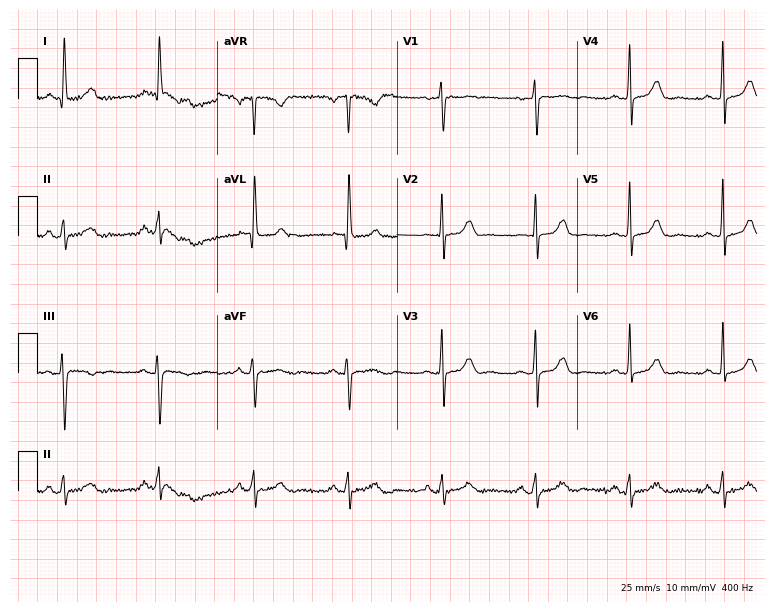
12-lead ECG from a female, 72 years old. Screened for six findings — first-degree AV block, right bundle branch block, left bundle branch block, sinus bradycardia, atrial fibrillation, sinus tachycardia — none is recorded. Only these six findings were labelled.